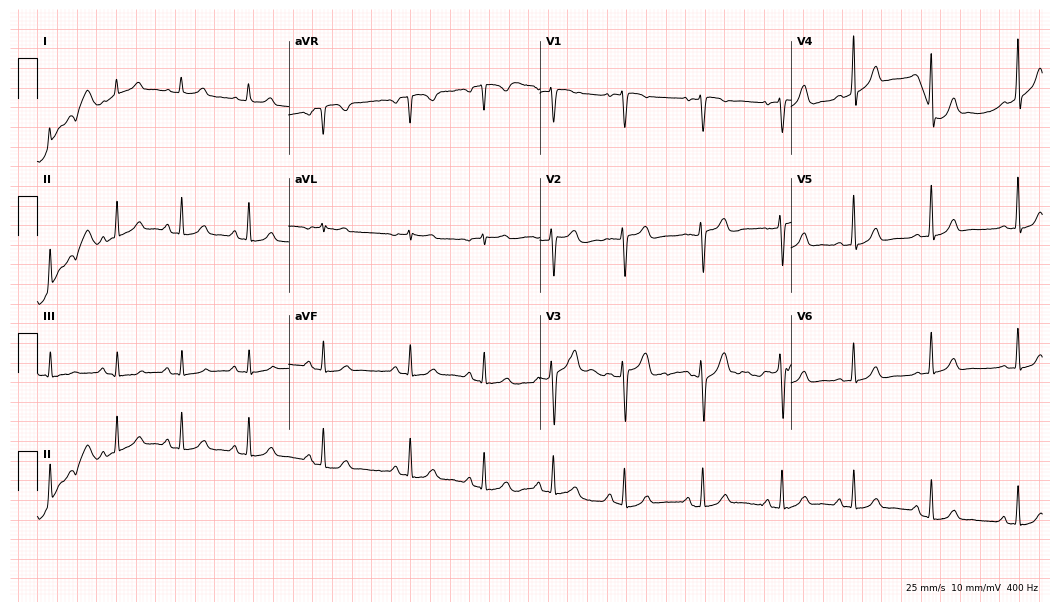
12-lead ECG from a female patient, 31 years old. No first-degree AV block, right bundle branch block (RBBB), left bundle branch block (LBBB), sinus bradycardia, atrial fibrillation (AF) or sinus tachycardia recorded for this tracing. Findings outside these six are not listed.